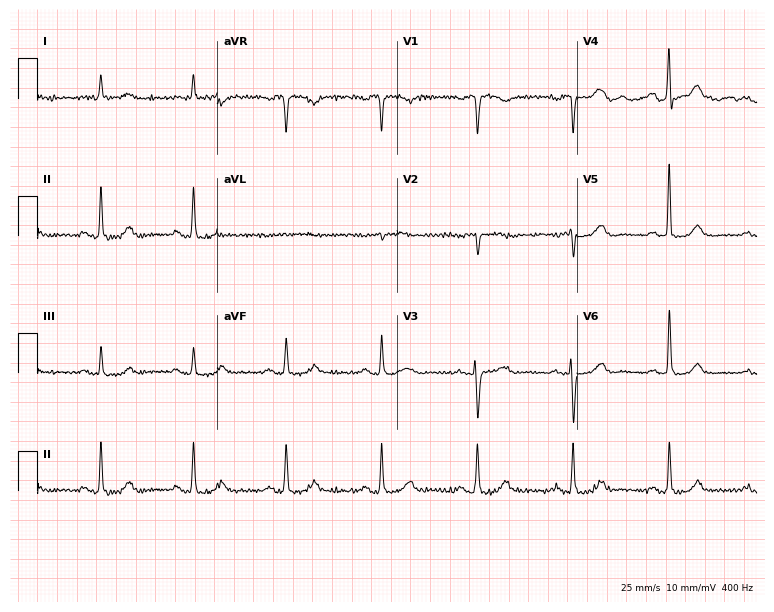
Electrocardiogram (7.3-second recording at 400 Hz), a 68-year-old woman. Overall reading on record: normal ECG.